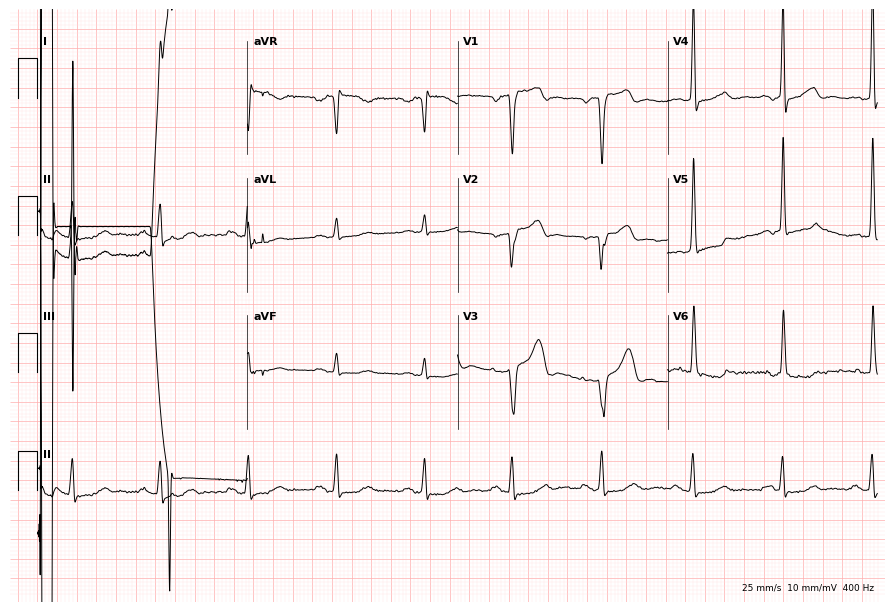
Resting 12-lead electrocardiogram. Patient: an 85-year-old male. None of these six findings is recorded: first-degree AV block, right bundle branch block, left bundle branch block, sinus bradycardia, atrial fibrillation, sinus tachycardia.